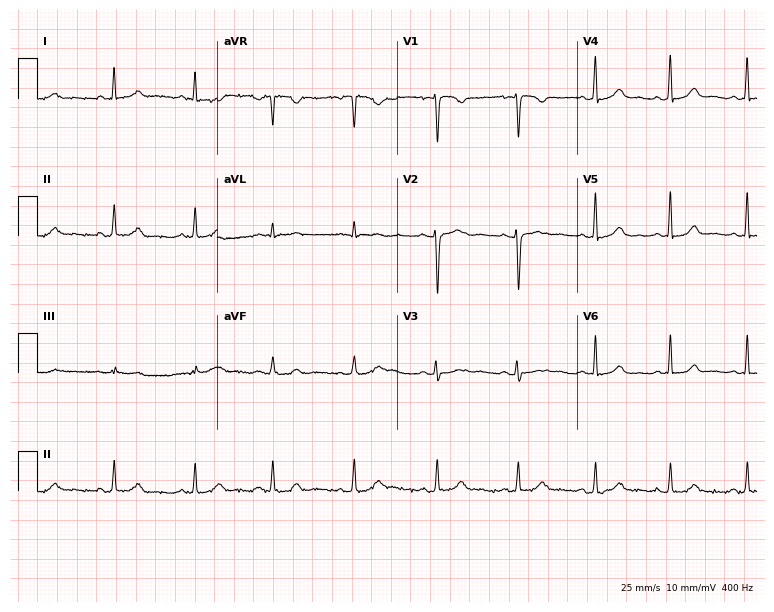
Electrocardiogram, a woman, 25 years old. Overall reading on record: normal ECG.